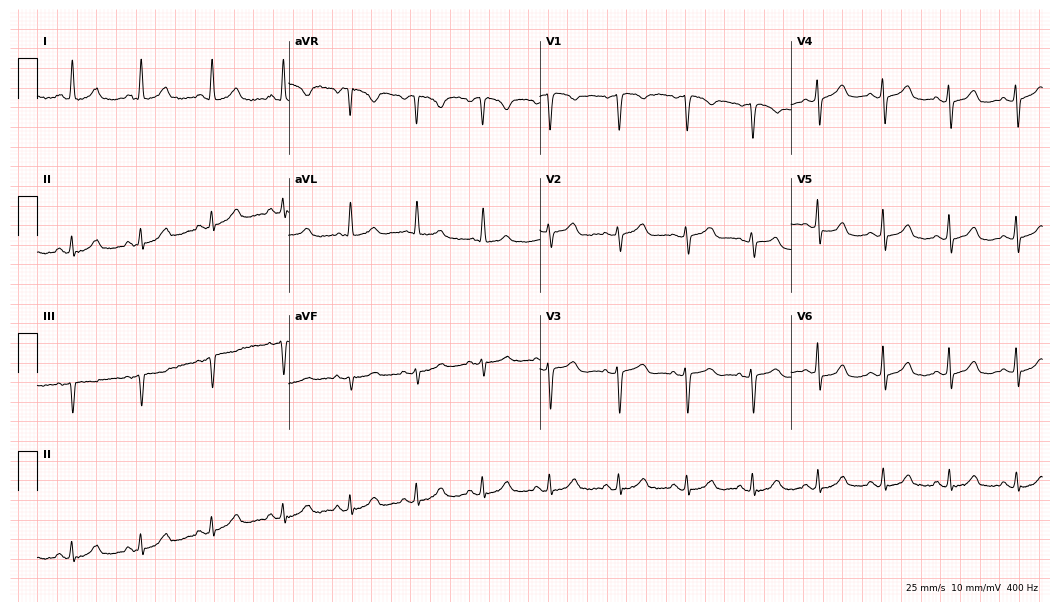
ECG (10.2-second recording at 400 Hz) — a female patient, 69 years old. Labelled as a normal ECG.